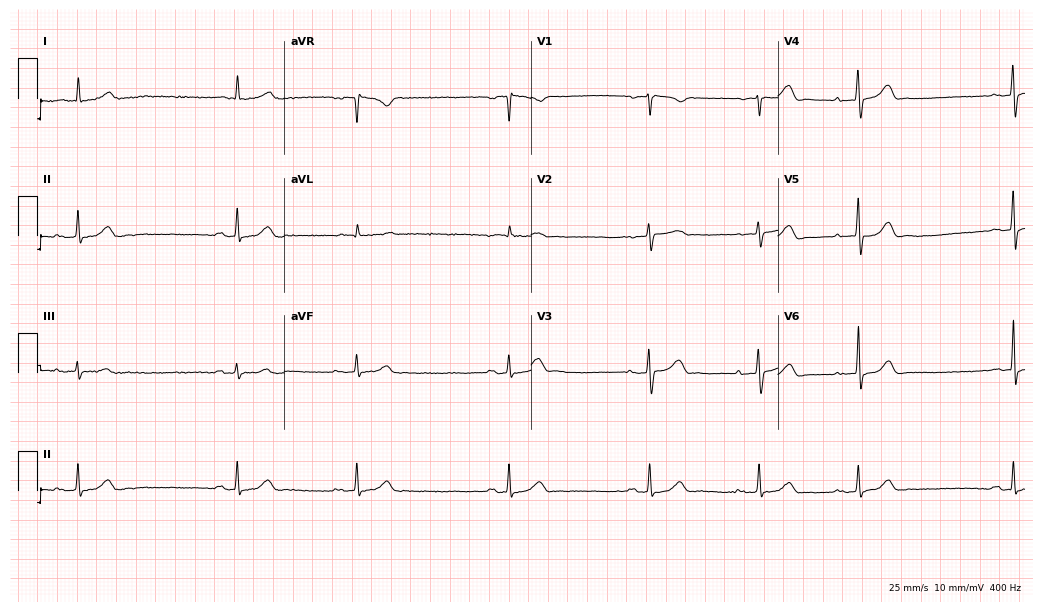
Standard 12-lead ECG recorded from a man, 77 years old (10.1-second recording at 400 Hz). None of these six findings is recorded: first-degree AV block, right bundle branch block, left bundle branch block, sinus bradycardia, atrial fibrillation, sinus tachycardia.